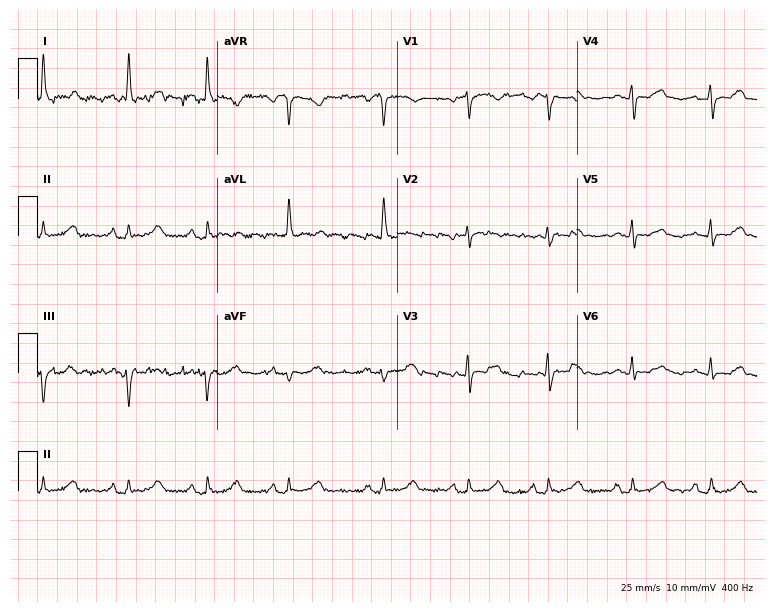
Electrocardiogram (7.3-second recording at 400 Hz), a 78-year-old female patient. Overall reading on record: normal ECG.